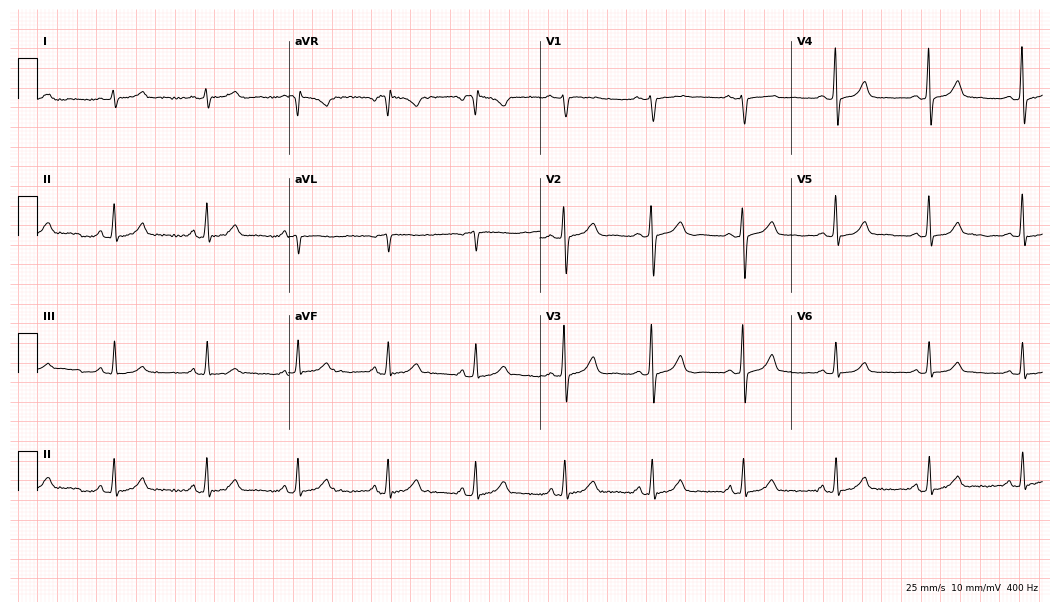
ECG — a woman, 74 years old. Labelled as a normal ECG.